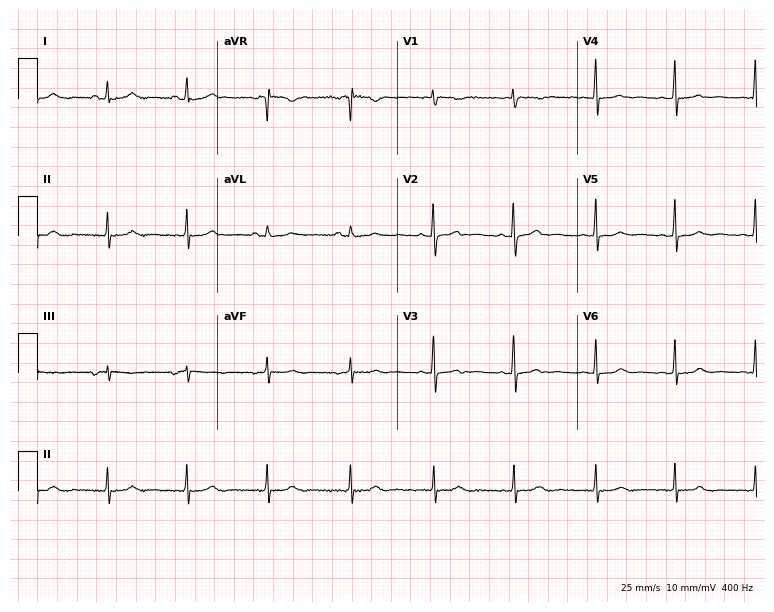
Resting 12-lead electrocardiogram. Patient: a 27-year-old female. Read as a normal ECG.